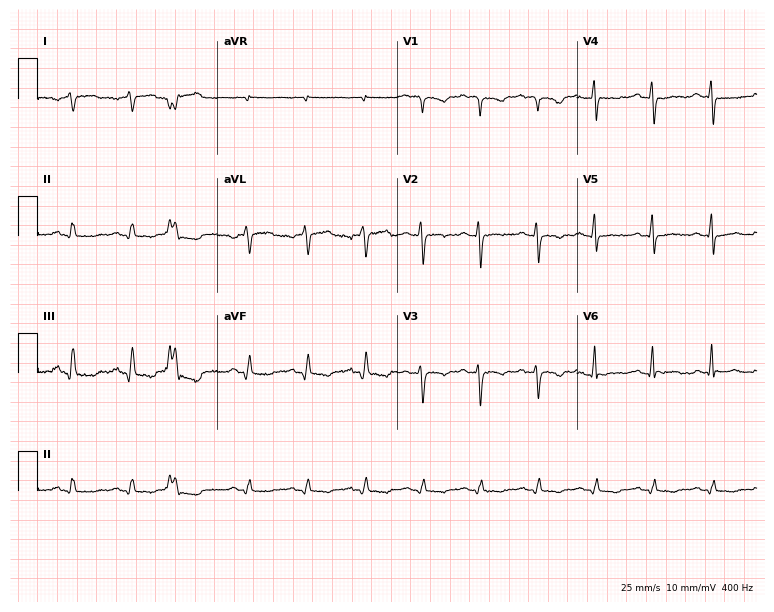
12-lead ECG from a 51-year-old female (7.3-second recording at 400 Hz). No first-degree AV block, right bundle branch block (RBBB), left bundle branch block (LBBB), sinus bradycardia, atrial fibrillation (AF) or sinus tachycardia recorded for this tracing.